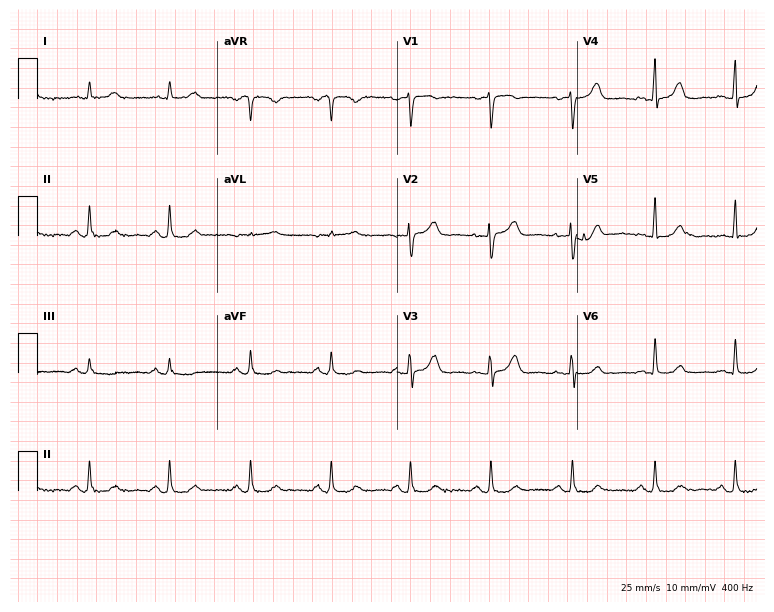
12-lead ECG (7.3-second recording at 400 Hz) from a 72-year-old female patient. Screened for six findings — first-degree AV block, right bundle branch block, left bundle branch block, sinus bradycardia, atrial fibrillation, sinus tachycardia — none is recorded. Other findings, if any, are not listed.